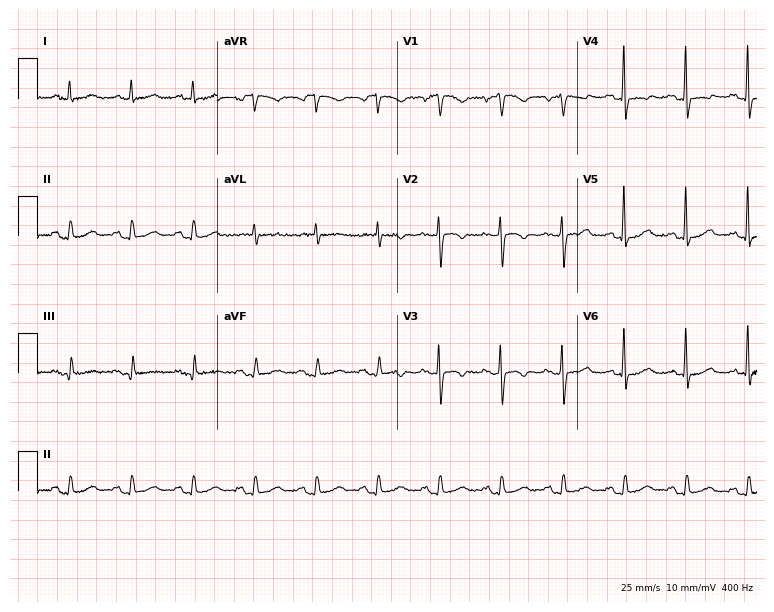
Standard 12-lead ECG recorded from a woman, 78 years old. None of these six findings is recorded: first-degree AV block, right bundle branch block, left bundle branch block, sinus bradycardia, atrial fibrillation, sinus tachycardia.